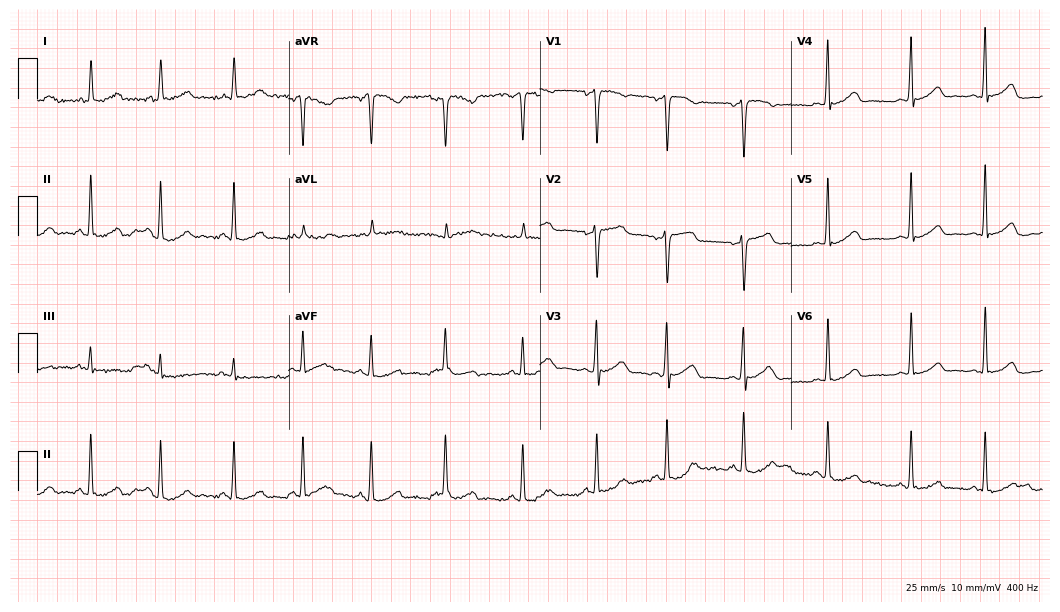
12-lead ECG from a 35-year-old woman. Labelled as a normal ECG.